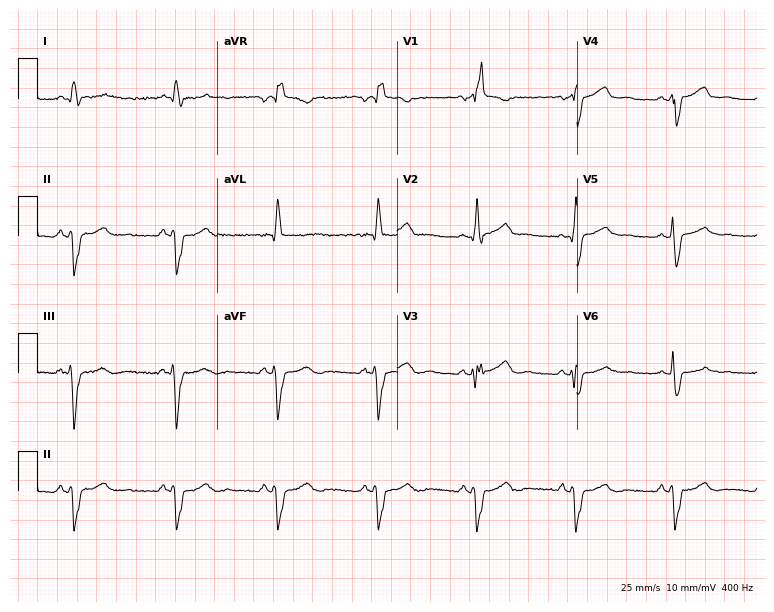
Standard 12-lead ECG recorded from a 44-year-old man (7.3-second recording at 400 Hz). The tracing shows right bundle branch block (RBBB).